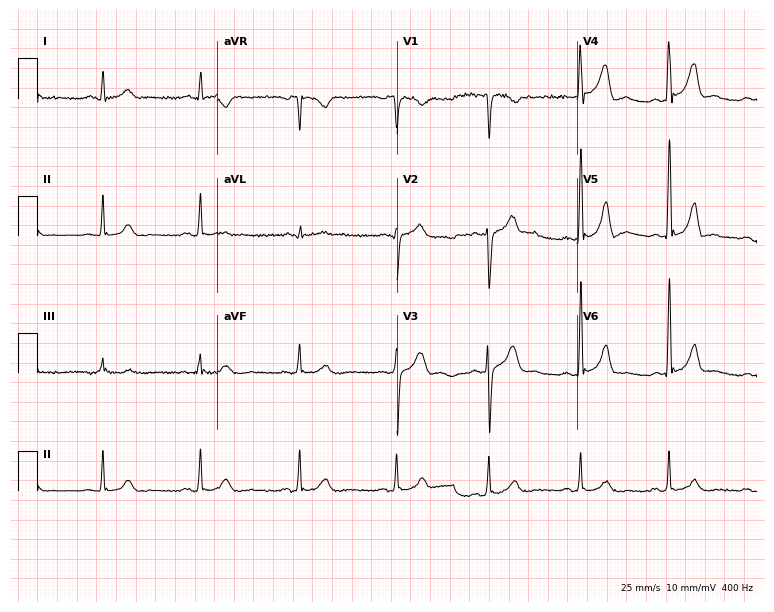
12-lead ECG from a 36-year-old male patient. Labelled as a normal ECG.